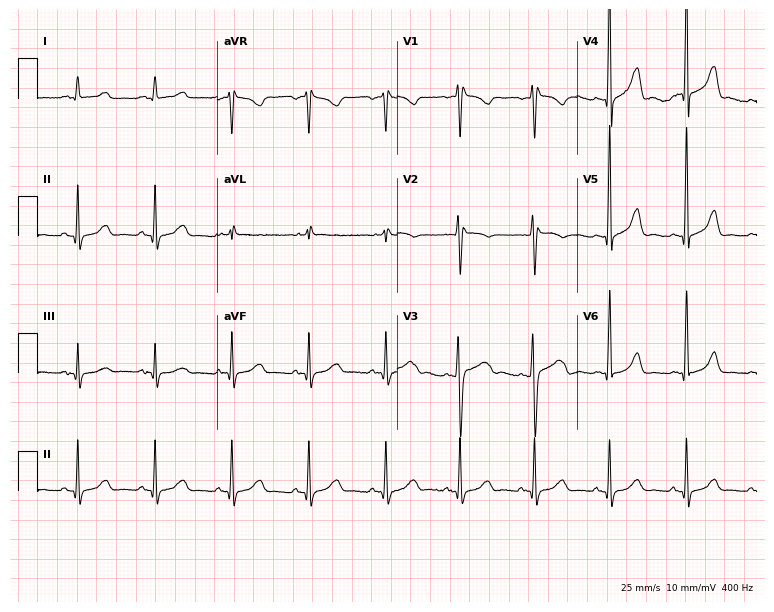
Standard 12-lead ECG recorded from a man, 47 years old (7.3-second recording at 400 Hz). None of these six findings is recorded: first-degree AV block, right bundle branch block, left bundle branch block, sinus bradycardia, atrial fibrillation, sinus tachycardia.